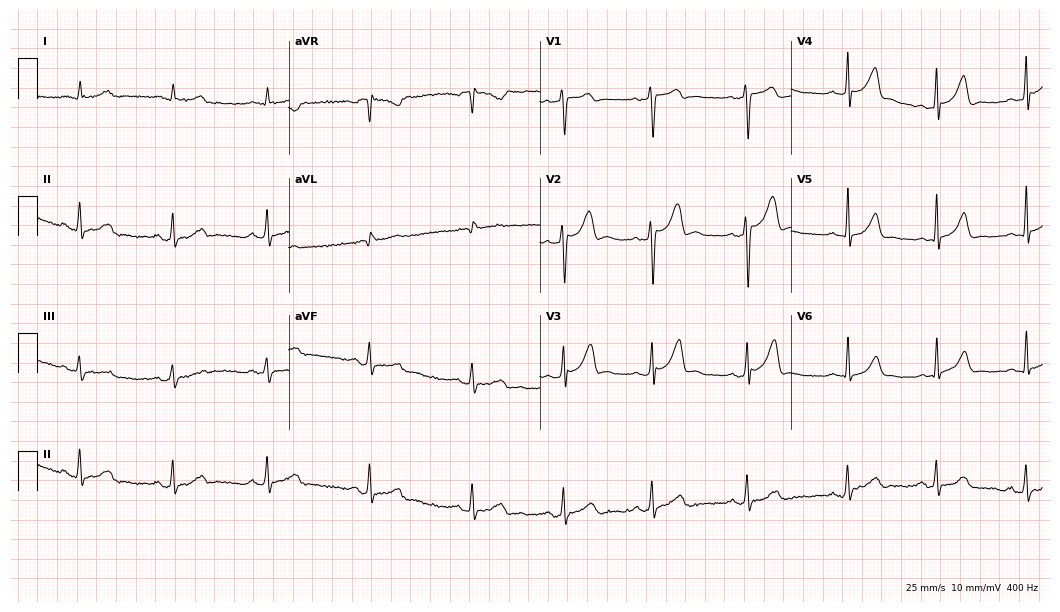
12-lead ECG (10.2-second recording at 400 Hz) from a male, 41 years old. Labelled as a normal ECG.